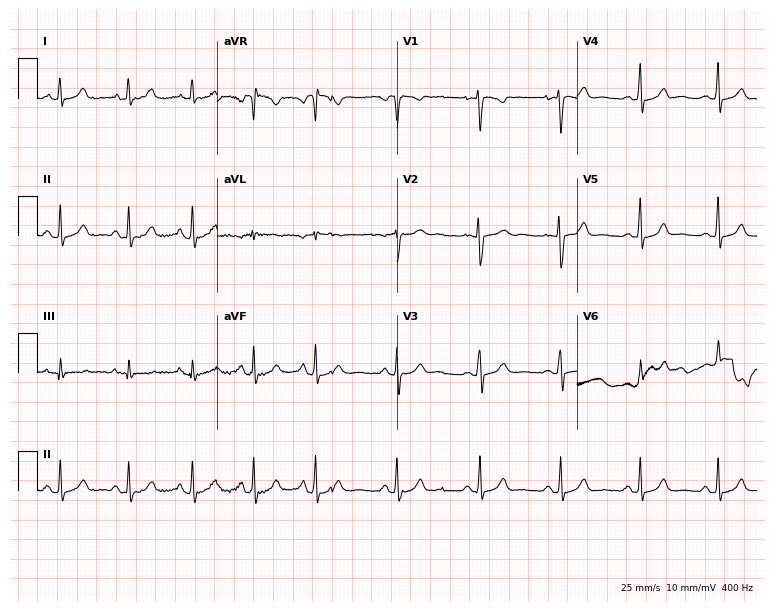
12-lead ECG (7.3-second recording at 400 Hz) from a 25-year-old female patient. Labelled as a normal ECG.